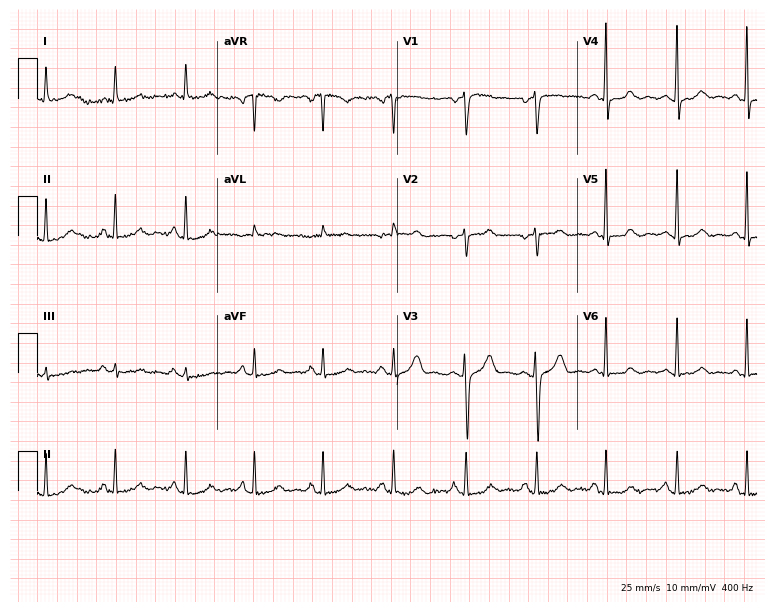
12-lead ECG (7.3-second recording at 400 Hz) from a 39-year-old male patient. Labelled as a normal ECG.